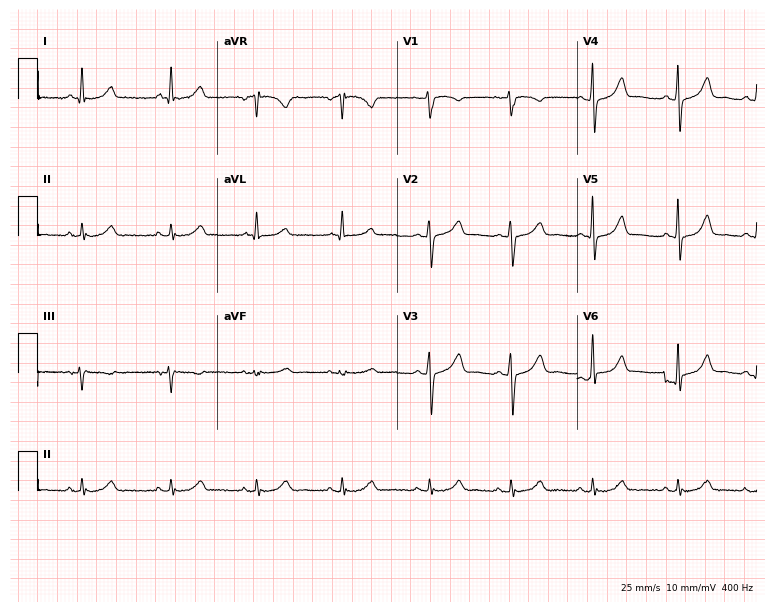
Electrocardiogram, a female patient, 48 years old. Of the six screened findings (first-degree AV block, right bundle branch block, left bundle branch block, sinus bradycardia, atrial fibrillation, sinus tachycardia), none is recorded. Findings outside these six are not listed.